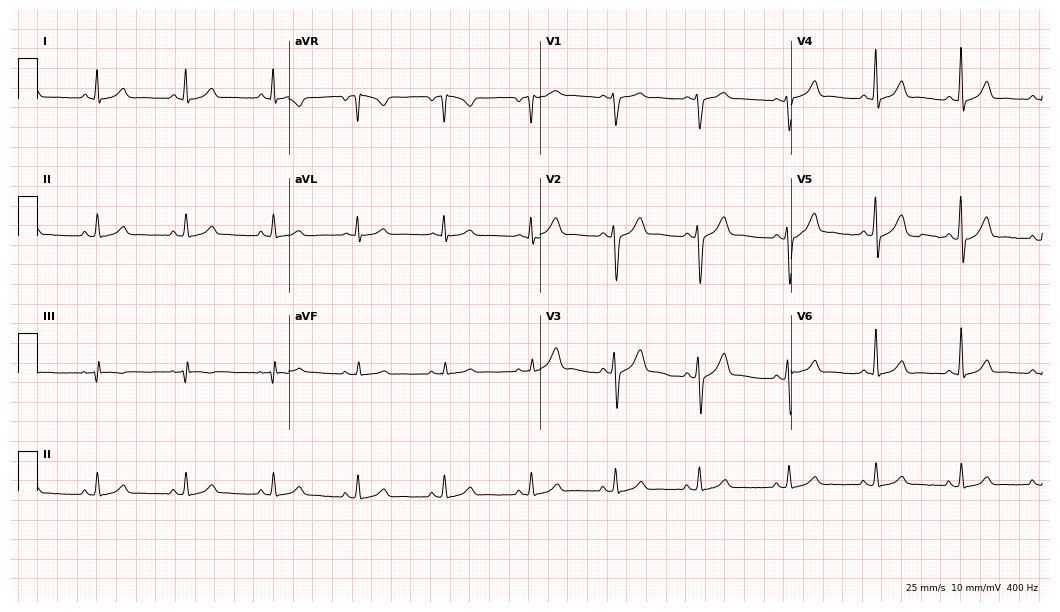
Electrocardiogram (10.2-second recording at 400 Hz), a male patient, 41 years old. Overall reading on record: normal ECG.